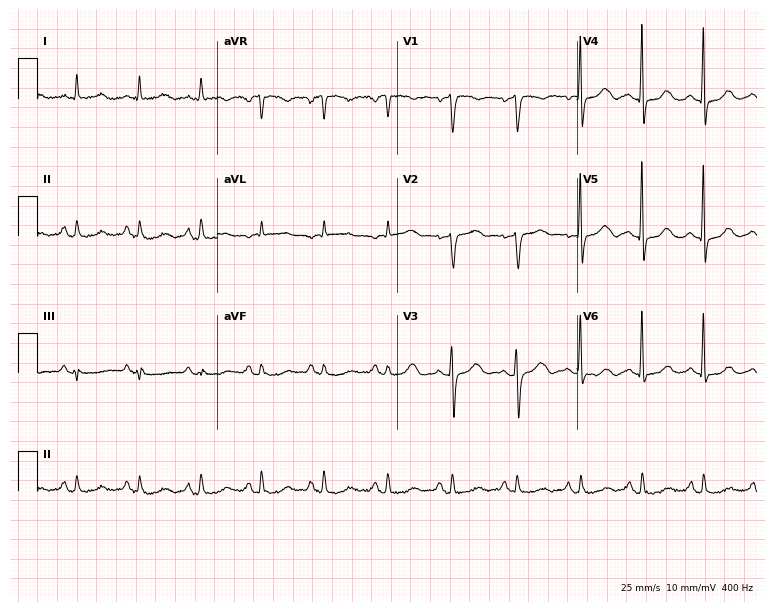
Resting 12-lead electrocardiogram. Patient: a 66-year-old woman. None of these six findings is recorded: first-degree AV block, right bundle branch block, left bundle branch block, sinus bradycardia, atrial fibrillation, sinus tachycardia. Findings outside these six are not listed.